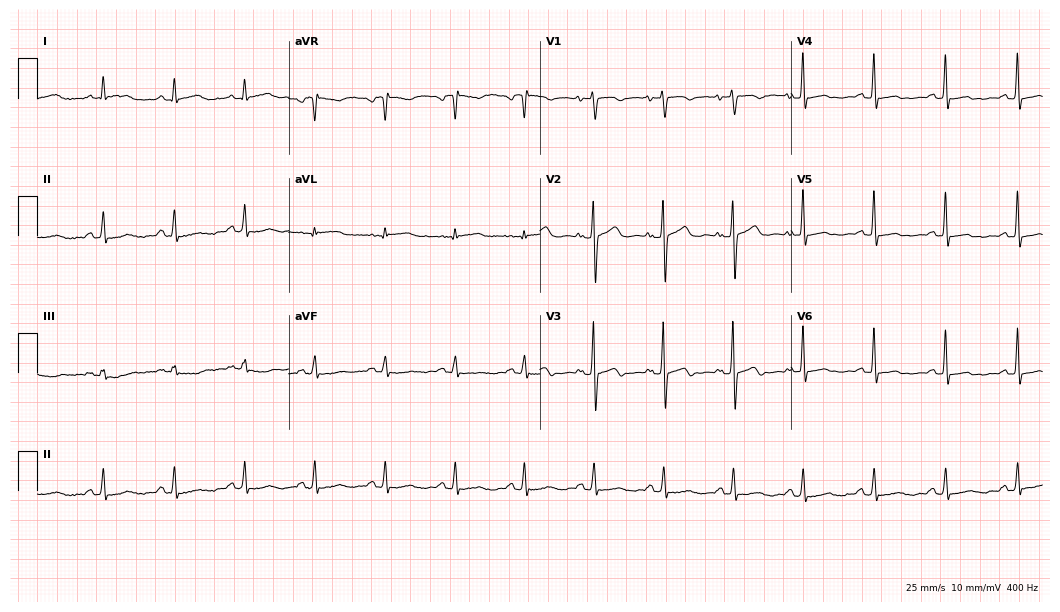
ECG — a 41-year-old female patient. Screened for six findings — first-degree AV block, right bundle branch block, left bundle branch block, sinus bradycardia, atrial fibrillation, sinus tachycardia — none is recorded. Other findings, if any, are not listed.